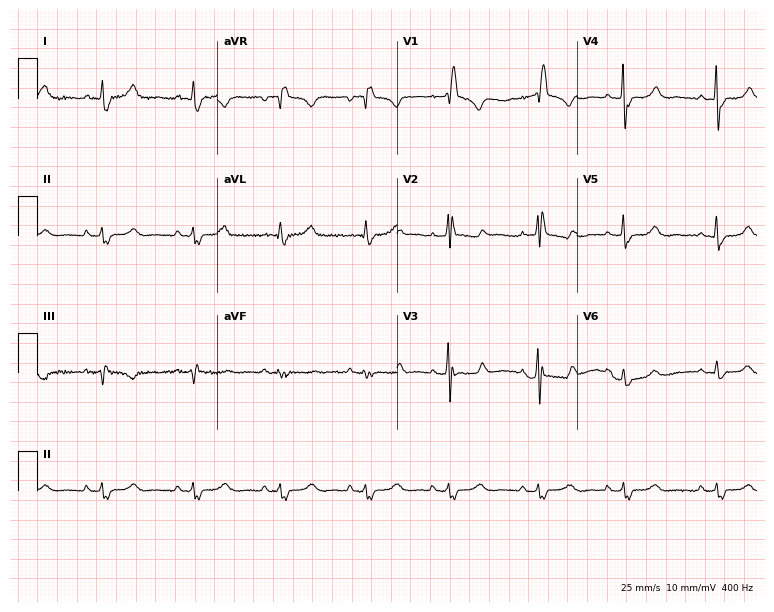
Resting 12-lead electrocardiogram (7.3-second recording at 400 Hz). Patient: a 55-year-old female. The tracing shows right bundle branch block (RBBB).